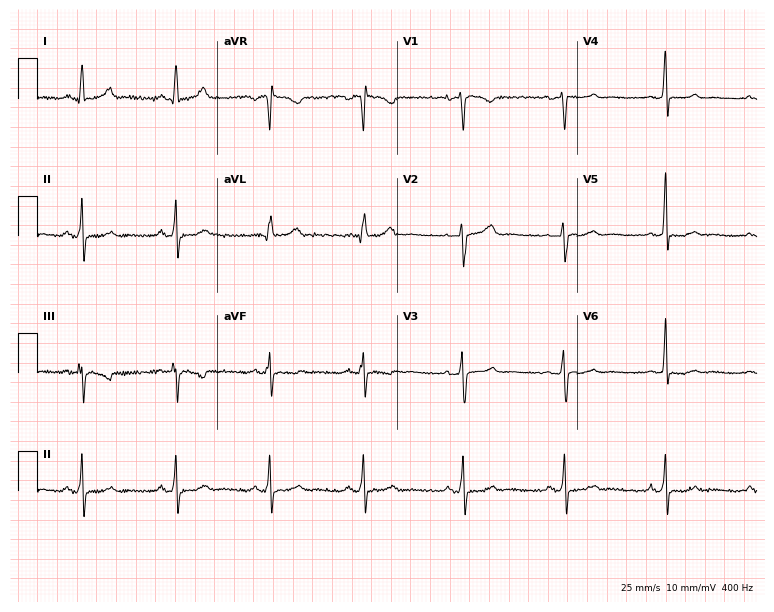
12-lead ECG from a 33-year-old female. No first-degree AV block, right bundle branch block (RBBB), left bundle branch block (LBBB), sinus bradycardia, atrial fibrillation (AF) or sinus tachycardia recorded for this tracing. Only these six findings were labelled.